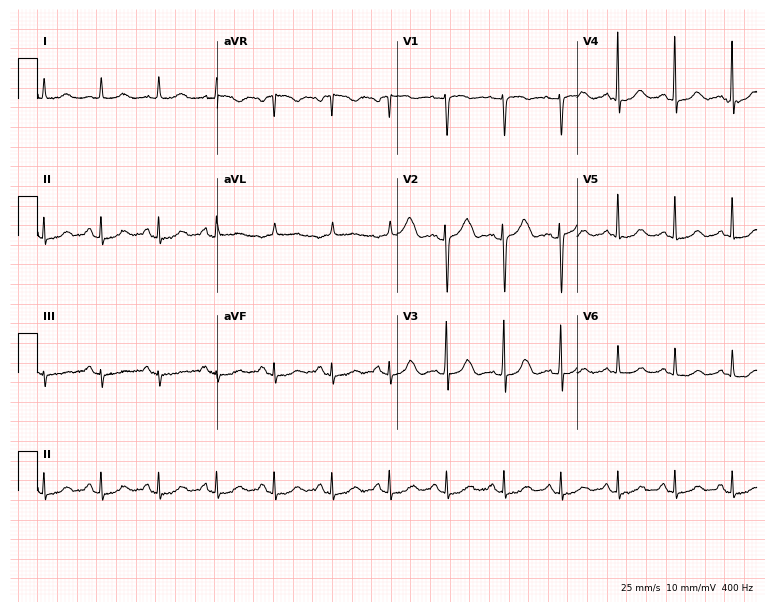
Standard 12-lead ECG recorded from a female, 71 years old. The tracing shows sinus tachycardia (a sinus rate of 100 beats per minute or more).